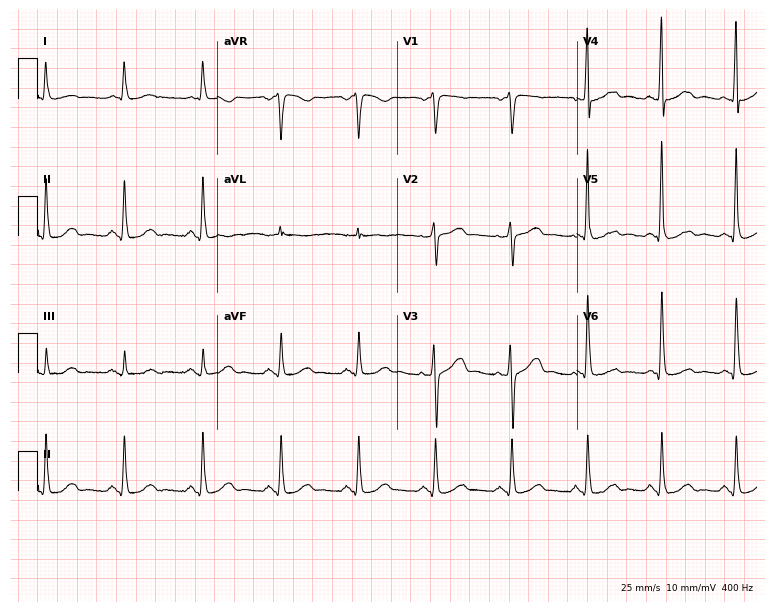
ECG (7.3-second recording at 400 Hz) — a man, 56 years old. Screened for six findings — first-degree AV block, right bundle branch block, left bundle branch block, sinus bradycardia, atrial fibrillation, sinus tachycardia — none is recorded. Findings outside these six are not listed.